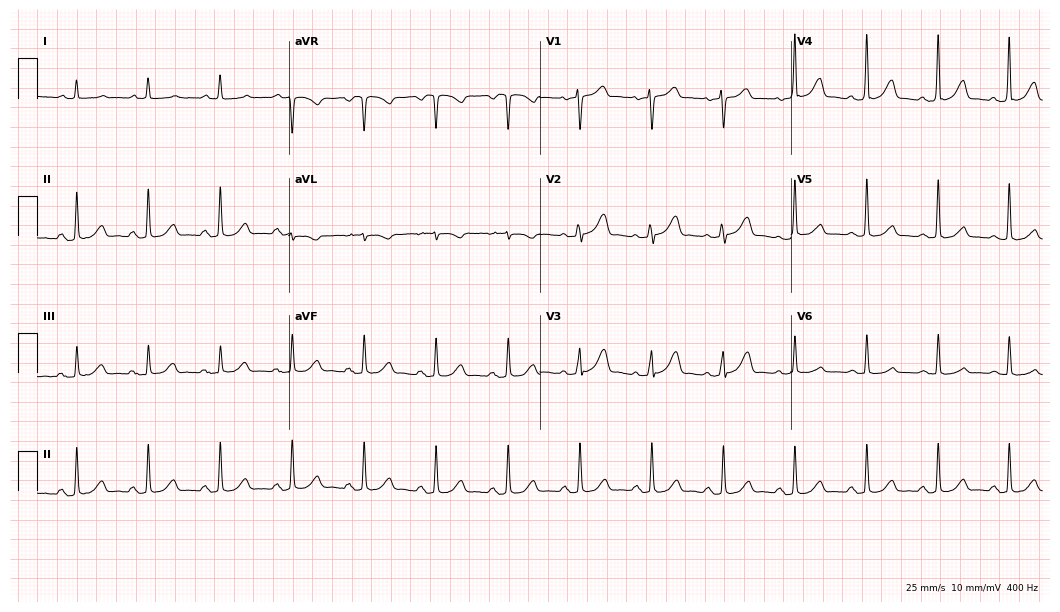
Standard 12-lead ECG recorded from a female, 65 years old (10.2-second recording at 400 Hz). Read as a normal ECG.